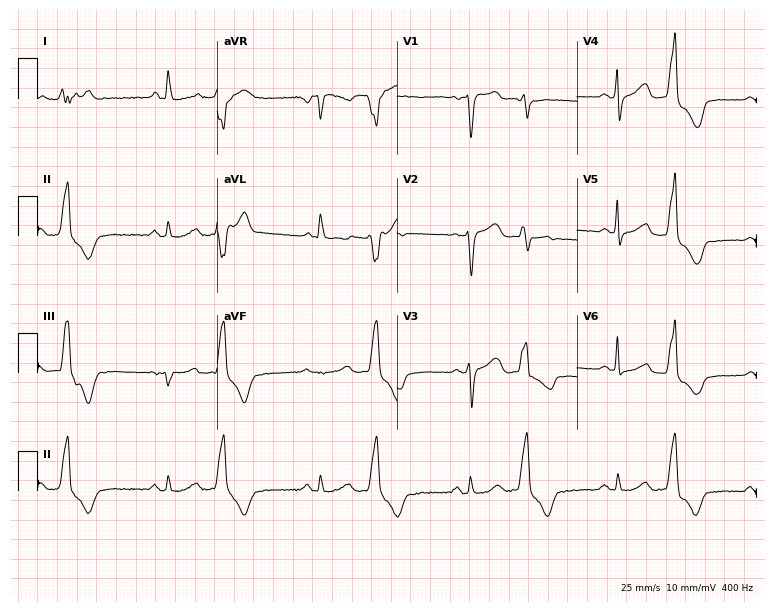
Electrocardiogram, a female, 62 years old. Of the six screened findings (first-degree AV block, right bundle branch block (RBBB), left bundle branch block (LBBB), sinus bradycardia, atrial fibrillation (AF), sinus tachycardia), none is recorded.